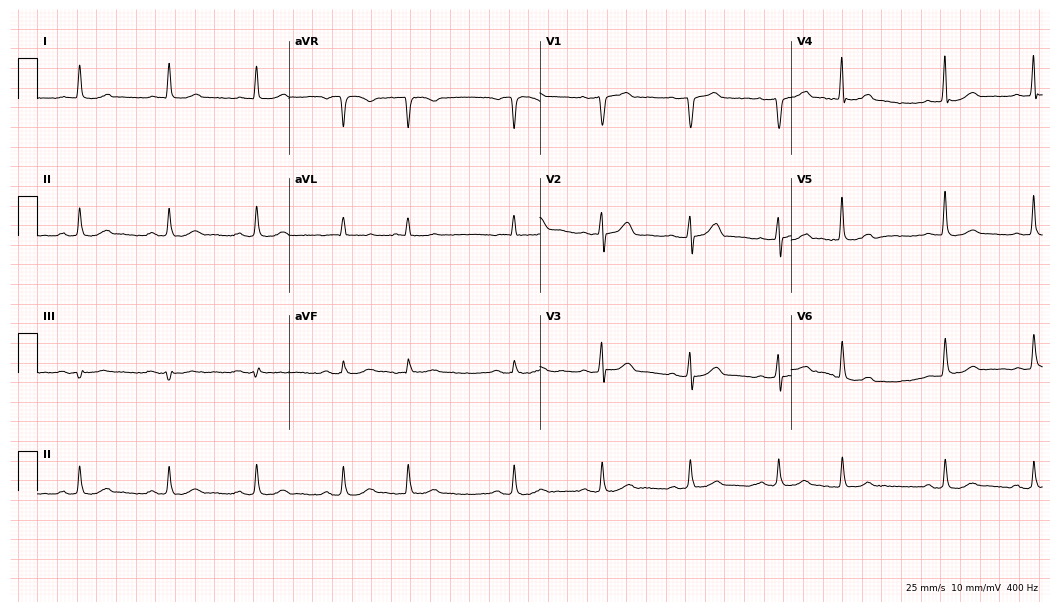
Standard 12-lead ECG recorded from a 71-year-old male (10.2-second recording at 400 Hz). None of these six findings is recorded: first-degree AV block, right bundle branch block, left bundle branch block, sinus bradycardia, atrial fibrillation, sinus tachycardia.